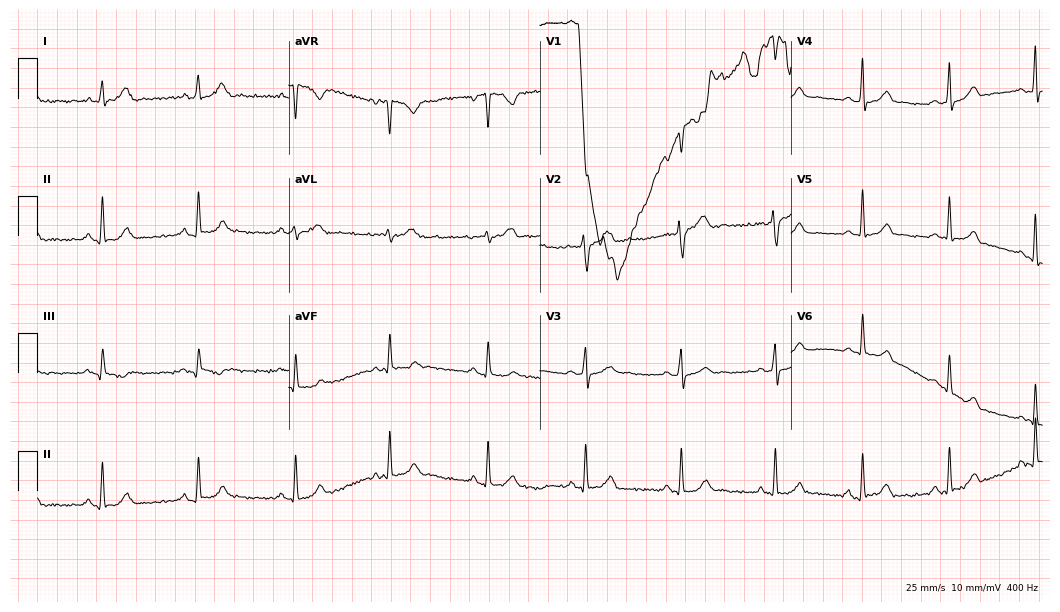
Standard 12-lead ECG recorded from a 35-year-old male patient. None of these six findings is recorded: first-degree AV block, right bundle branch block, left bundle branch block, sinus bradycardia, atrial fibrillation, sinus tachycardia. Only these six findings were labelled.